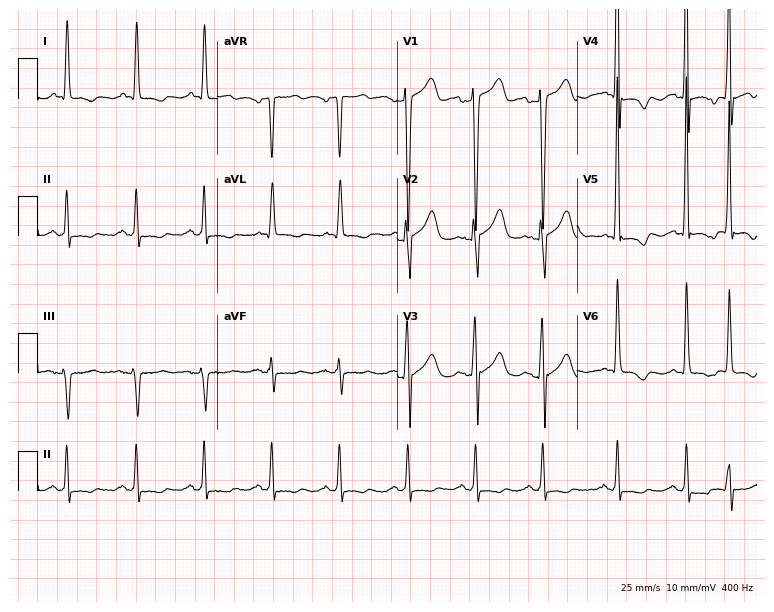
12-lead ECG from a man, 71 years old (7.3-second recording at 400 Hz). No first-degree AV block, right bundle branch block, left bundle branch block, sinus bradycardia, atrial fibrillation or sinus tachycardia recorded for this tracing. Only these six findings were labelled.